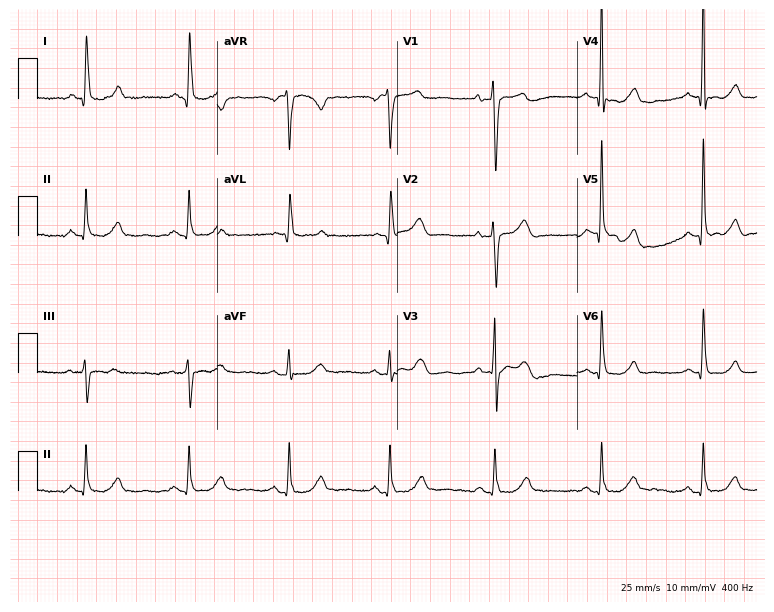
ECG (7.3-second recording at 400 Hz) — a 77-year-old female patient. Screened for six findings — first-degree AV block, right bundle branch block (RBBB), left bundle branch block (LBBB), sinus bradycardia, atrial fibrillation (AF), sinus tachycardia — none is recorded.